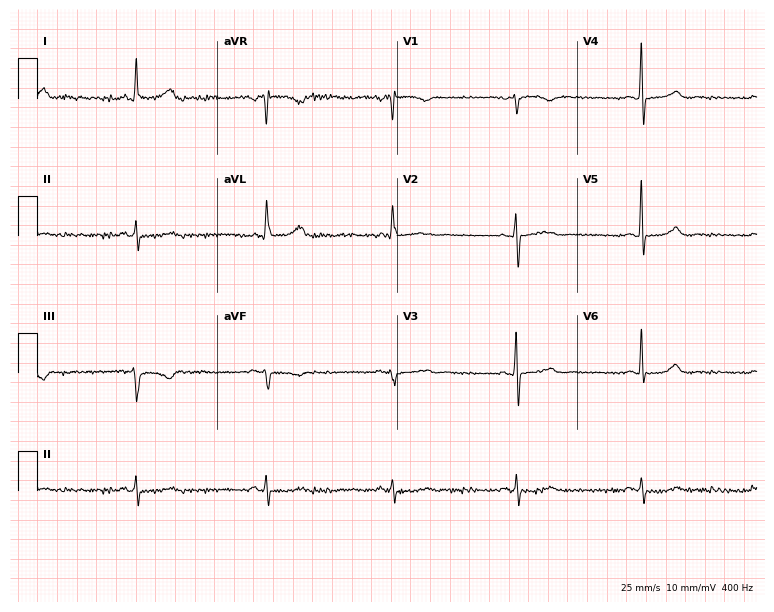
ECG — a 62-year-old female patient. Findings include sinus bradycardia (a sinus rate of 50 beats per minute or less).